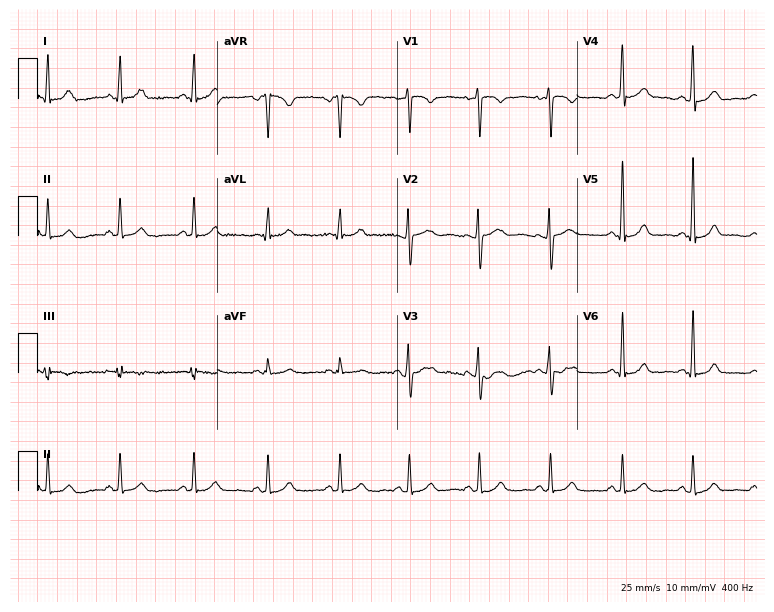
12-lead ECG from a 34-year-old woman (7.3-second recording at 400 Hz). Recorded interpretation: within normal limits.